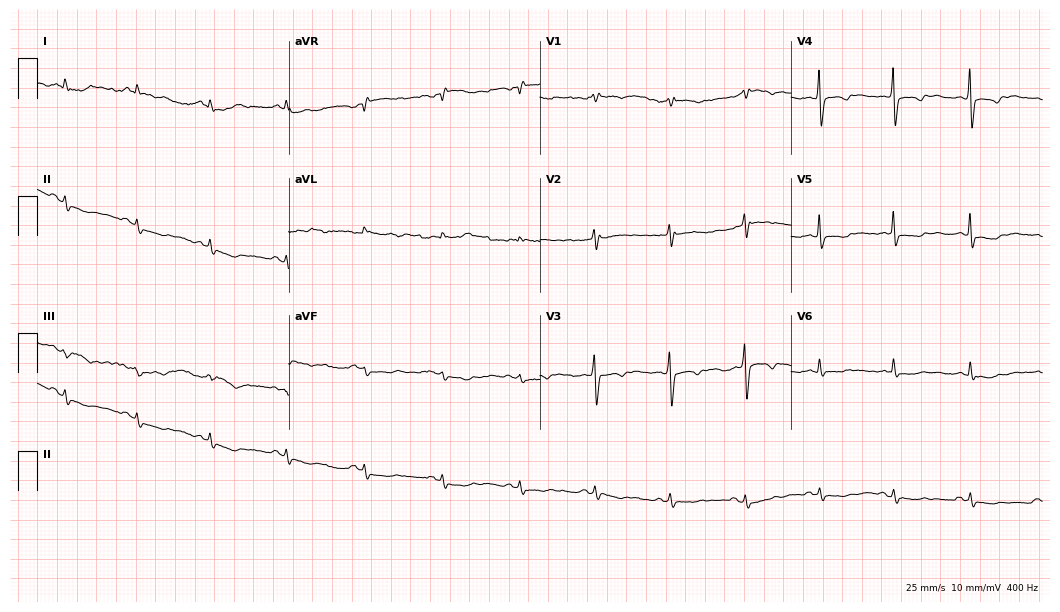
Electrocardiogram, a female, 42 years old. Of the six screened findings (first-degree AV block, right bundle branch block (RBBB), left bundle branch block (LBBB), sinus bradycardia, atrial fibrillation (AF), sinus tachycardia), none is recorded. Only these six findings were labelled.